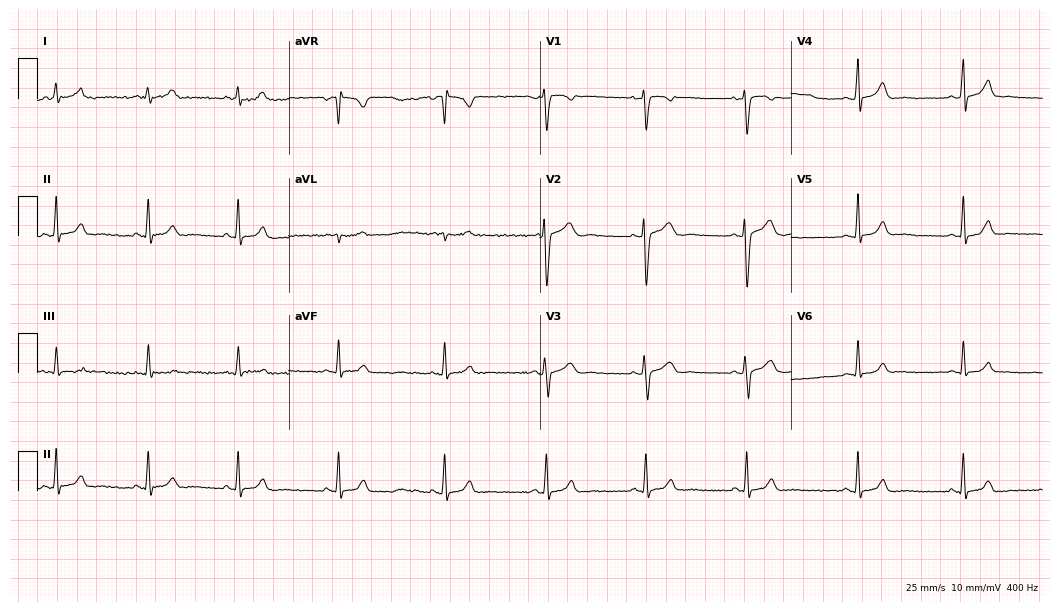
Electrocardiogram (10.2-second recording at 400 Hz), a 35-year-old woman. Of the six screened findings (first-degree AV block, right bundle branch block, left bundle branch block, sinus bradycardia, atrial fibrillation, sinus tachycardia), none is recorded.